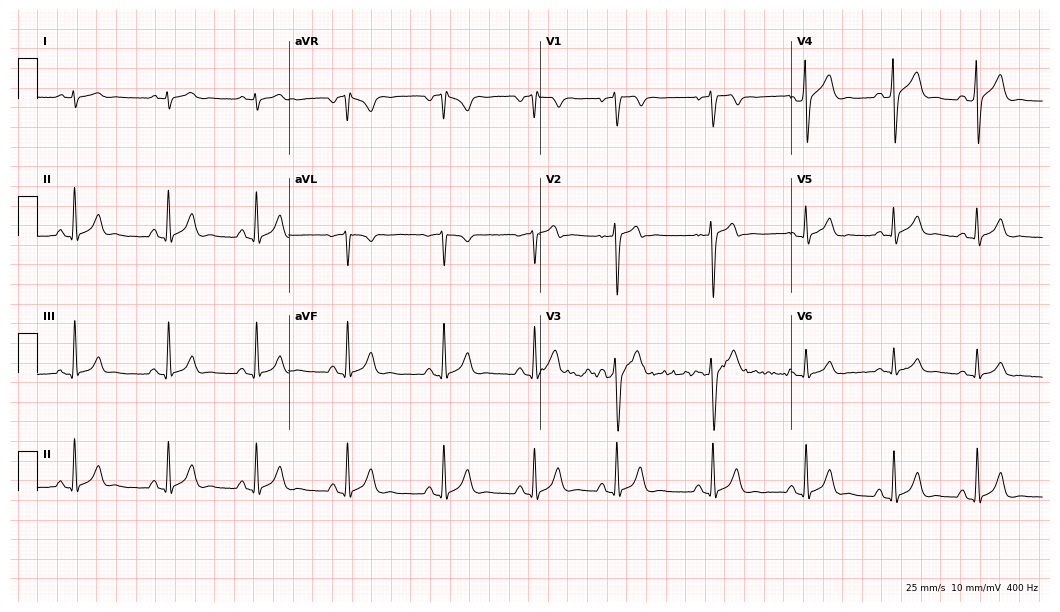
Electrocardiogram (10.2-second recording at 400 Hz), a male, 22 years old. Of the six screened findings (first-degree AV block, right bundle branch block, left bundle branch block, sinus bradycardia, atrial fibrillation, sinus tachycardia), none is recorded.